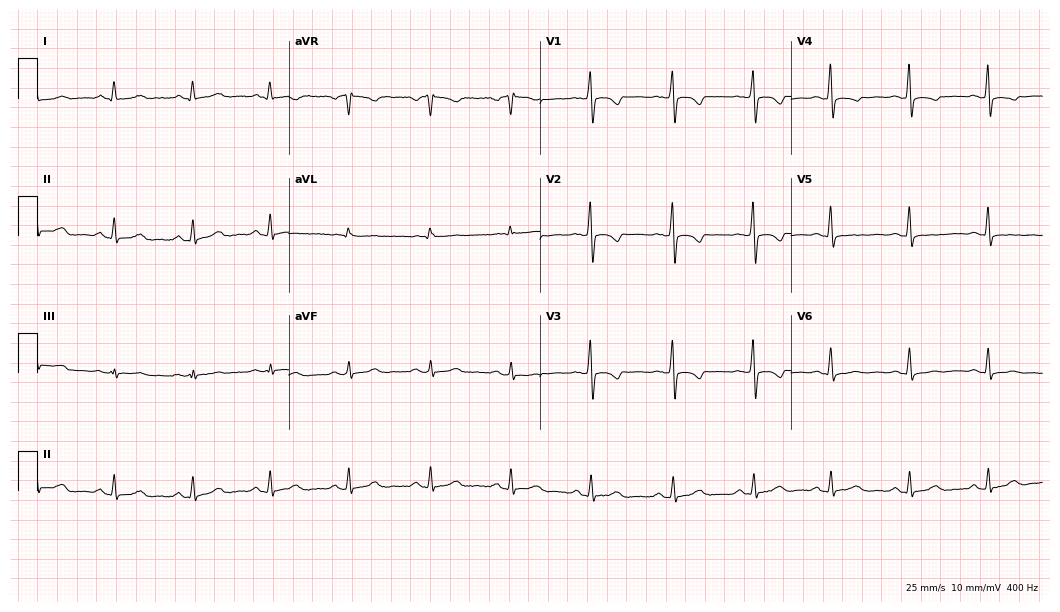
12-lead ECG from a 60-year-old female patient. Screened for six findings — first-degree AV block, right bundle branch block, left bundle branch block, sinus bradycardia, atrial fibrillation, sinus tachycardia — none is recorded.